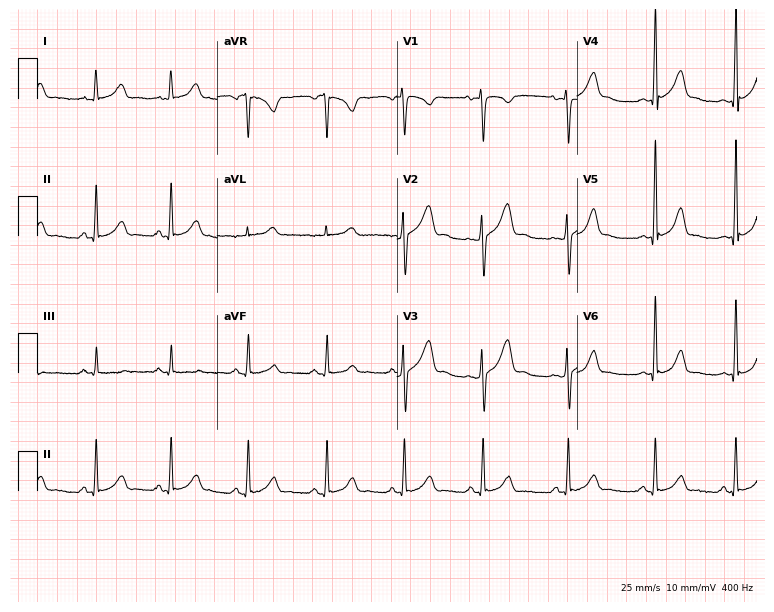
Standard 12-lead ECG recorded from a 32-year-old female patient. None of these six findings is recorded: first-degree AV block, right bundle branch block (RBBB), left bundle branch block (LBBB), sinus bradycardia, atrial fibrillation (AF), sinus tachycardia. Only these six findings were labelled.